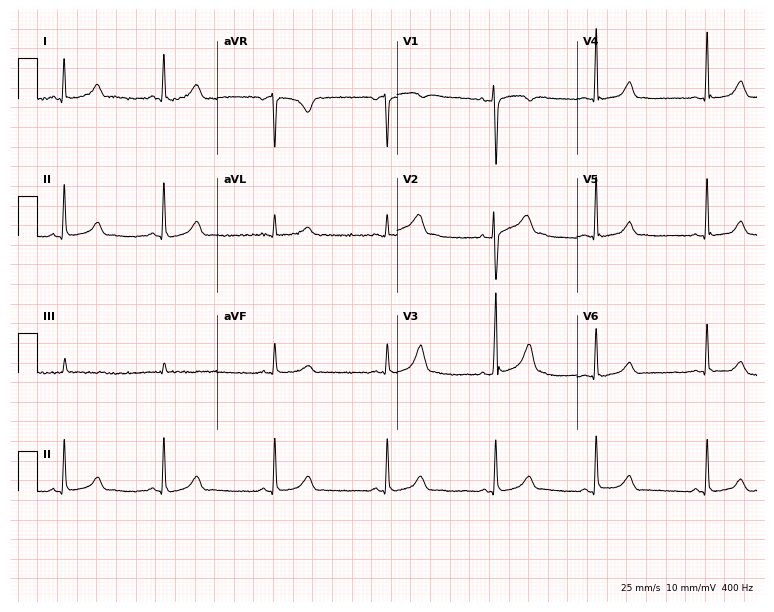
ECG (7.3-second recording at 400 Hz) — a female patient, 38 years old. Labelled as a normal ECG.